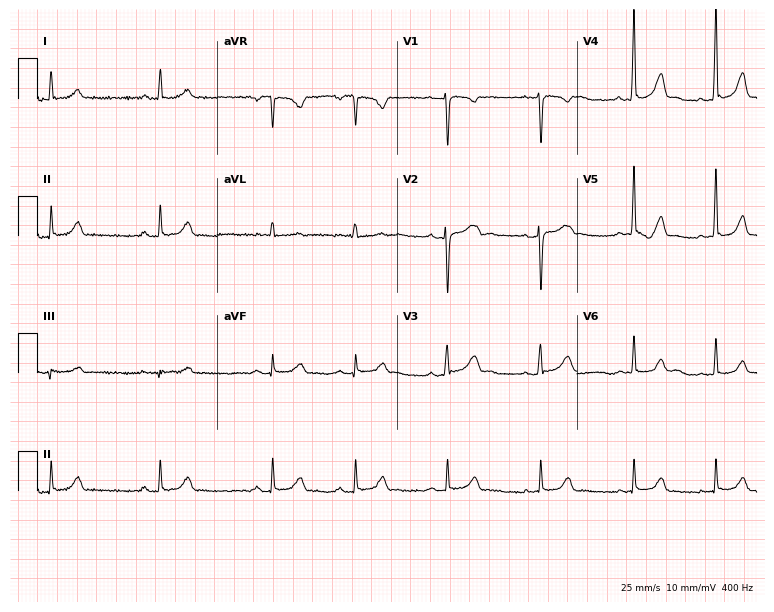
12-lead ECG (7.3-second recording at 400 Hz) from an 18-year-old woman. Labelled as a normal ECG.